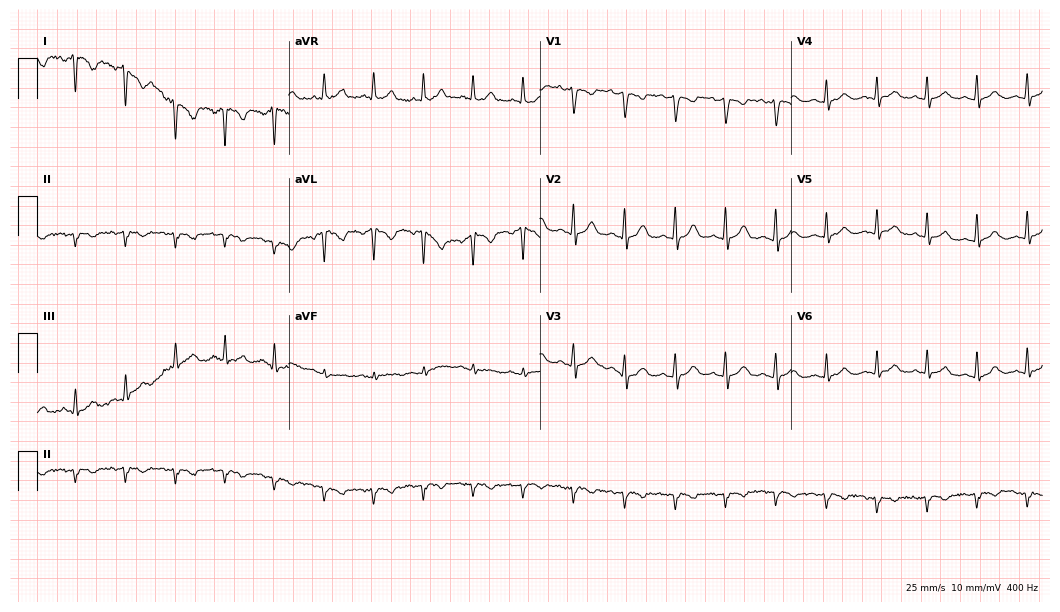
12-lead ECG from a 33-year-old woman. Shows sinus tachycardia (a sinus rate of 100 beats per minute or more).